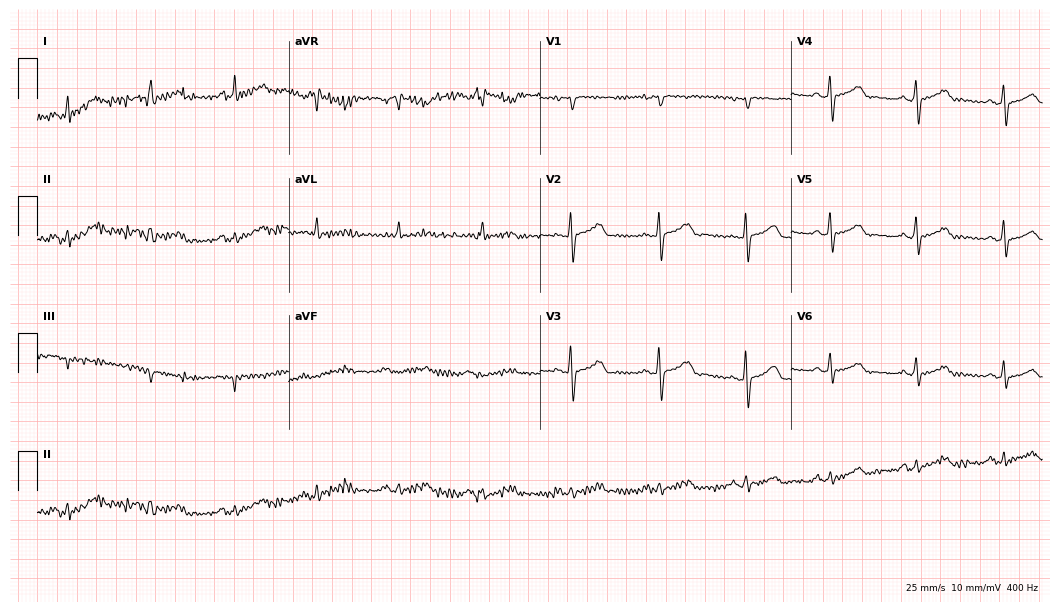
Standard 12-lead ECG recorded from a female patient, 47 years old. None of these six findings is recorded: first-degree AV block, right bundle branch block (RBBB), left bundle branch block (LBBB), sinus bradycardia, atrial fibrillation (AF), sinus tachycardia.